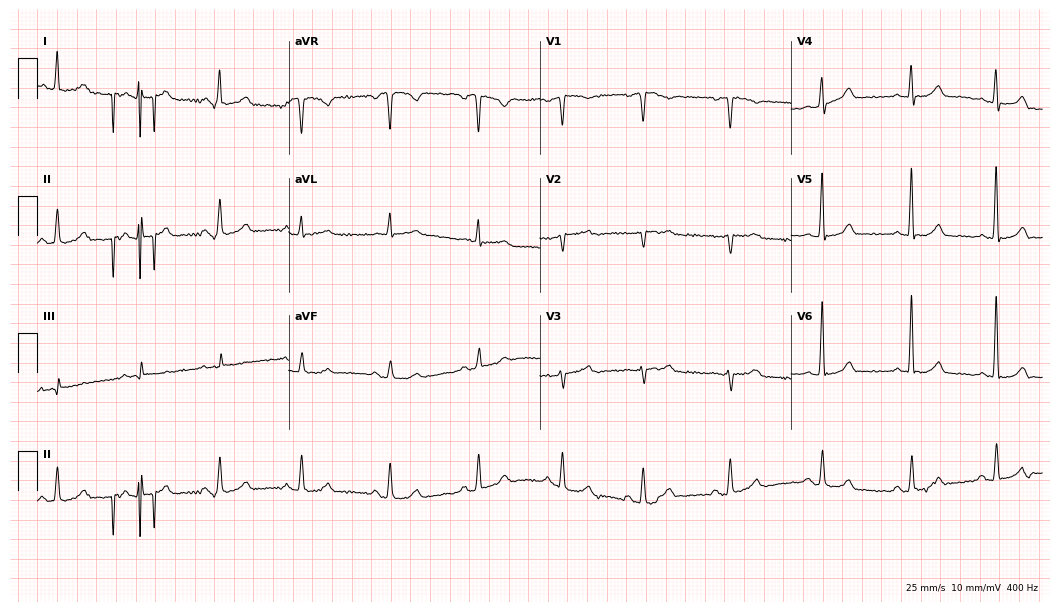
Standard 12-lead ECG recorded from a female, 56 years old. Read as a normal ECG.